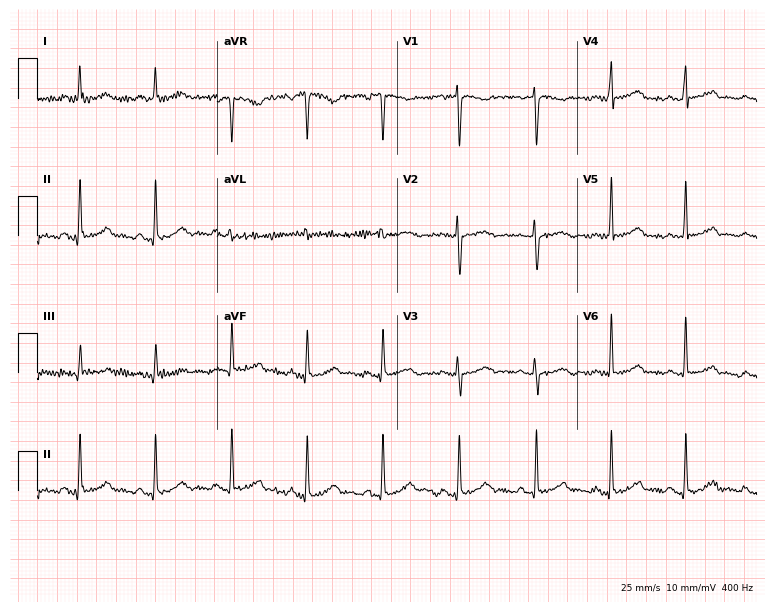
ECG (7.3-second recording at 400 Hz) — a 41-year-old female patient. Labelled as a normal ECG.